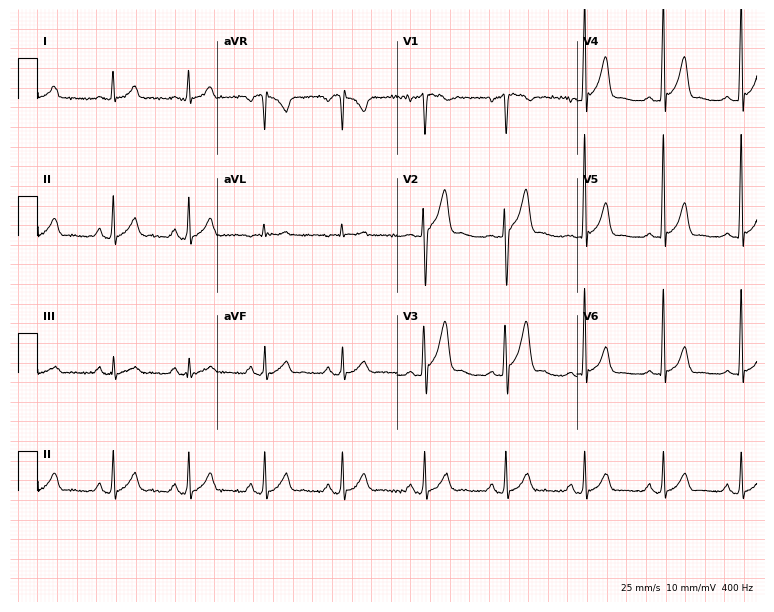
ECG (7.3-second recording at 400 Hz) — a male, 27 years old. Labelled as a normal ECG.